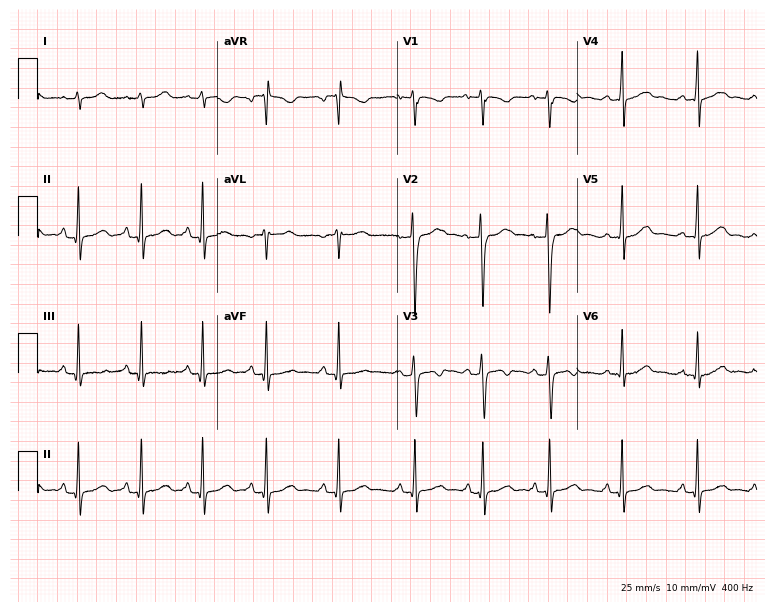
Standard 12-lead ECG recorded from a 20-year-old female patient. None of these six findings is recorded: first-degree AV block, right bundle branch block, left bundle branch block, sinus bradycardia, atrial fibrillation, sinus tachycardia. Findings outside these six are not listed.